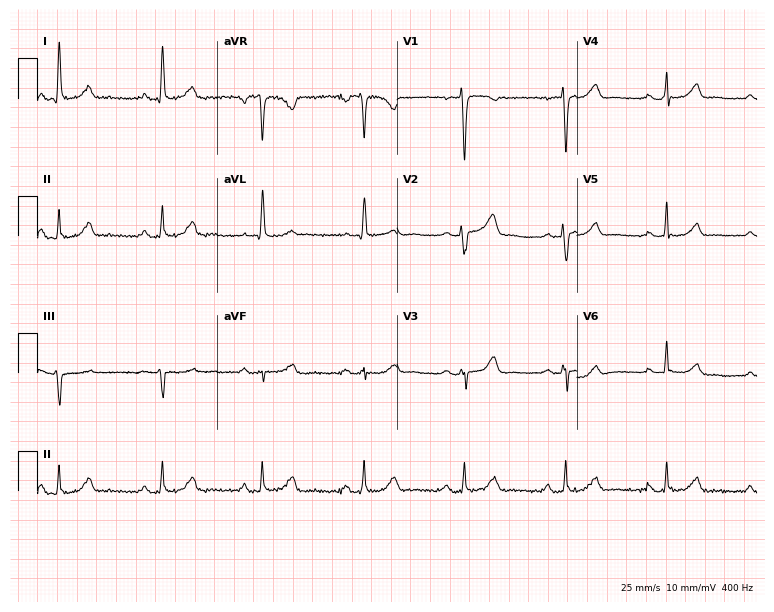
12-lead ECG from a 61-year-old female (7.3-second recording at 400 Hz). Recorded interpretation: within normal limits.